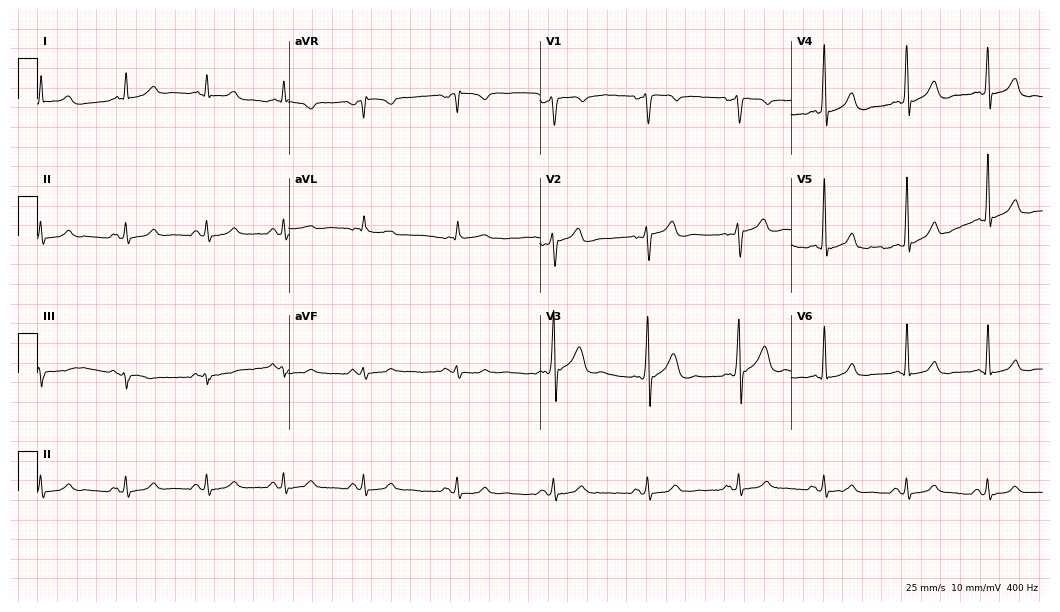
12-lead ECG from a 37-year-old male. Labelled as a normal ECG.